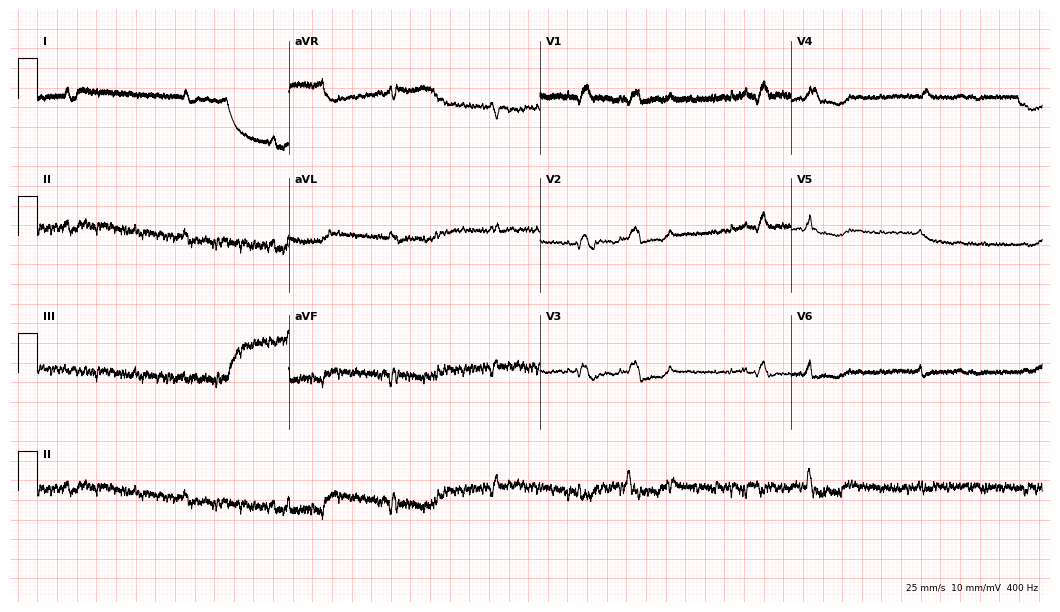
12-lead ECG from a 71-year-old female patient (10.2-second recording at 400 Hz). No first-degree AV block, right bundle branch block (RBBB), left bundle branch block (LBBB), sinus bradycardia, atrial fibrillation (AF) or sinus tachycardia recorded for this tracing. Only these six findings were labelled.